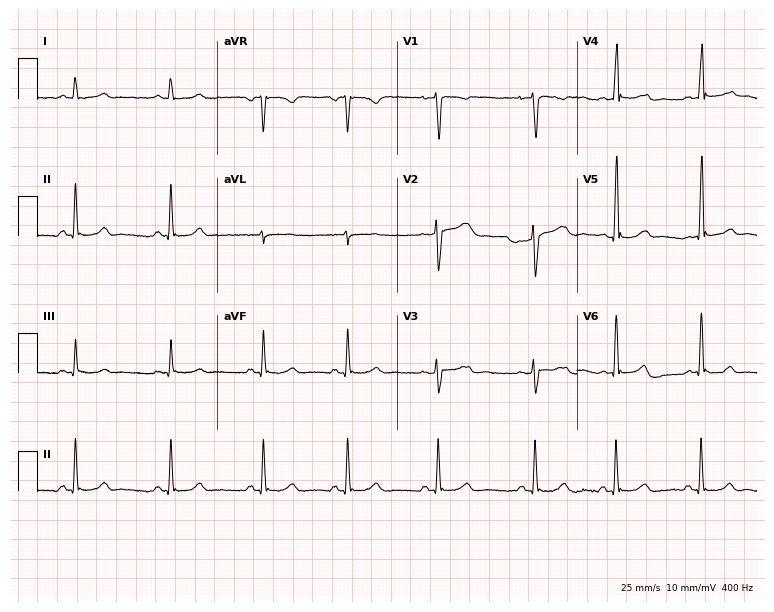
Electrocardiogram (7.3-second recording at 400 Hz), a 19-year-old female. Of the six screened findings (first-degree AV block, right bundle branch block, left bundle branch block, sinus bradycardia, atrial fibrillation, sinus tachycardia), none is recorded.